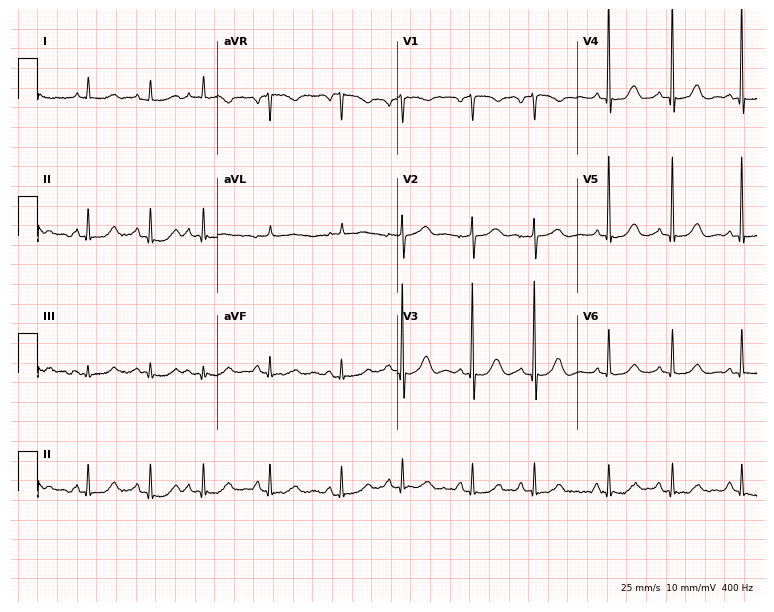
Resting 12-lead electrocardiogram. Patient: an 83-year-old woman. Read as a normal ECG.